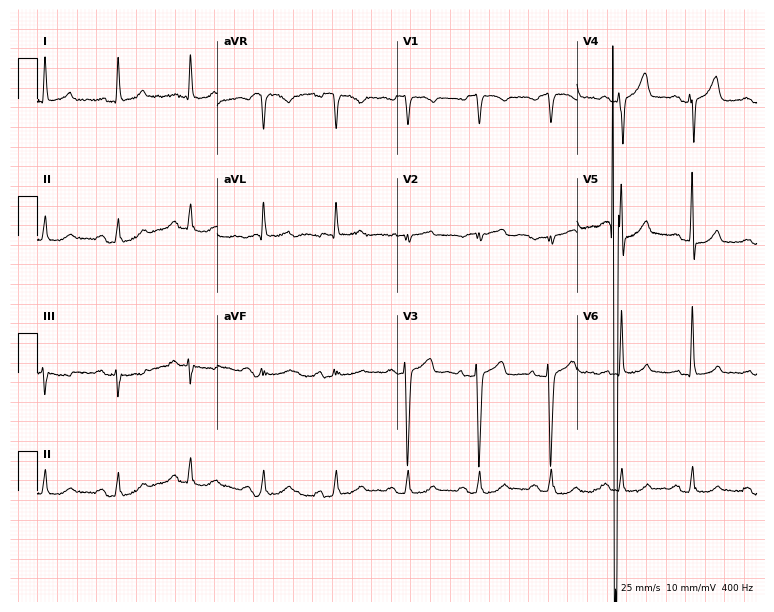
Electrocardiogram, a 79-year-old woman. Of the six screened findings (first-degree AV block, right bundle branch block (RBBB), left bundle branch block (LBBB), sinus bradycardia, atrial fibrillation (AF), sinus tachycardia), none is recorded. Findings outside these six are not listed.